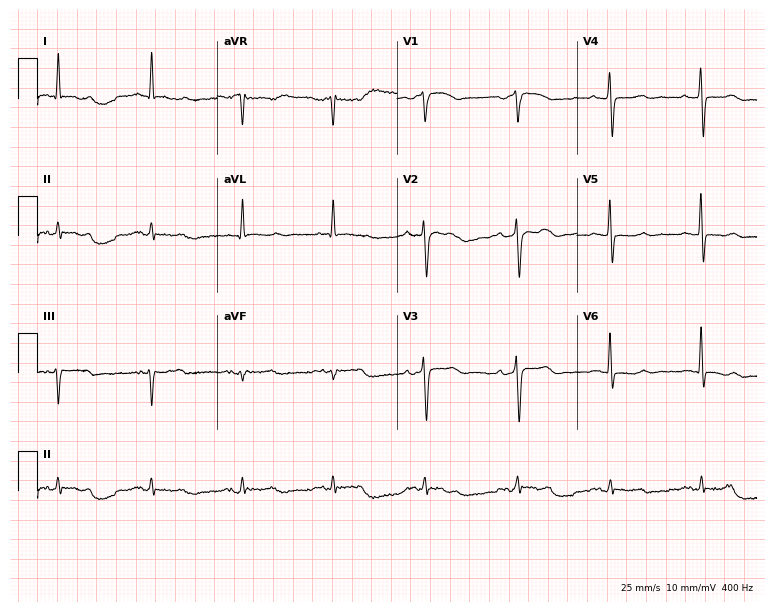
Standard 12-lead ECG recorded from a 77-year-old man. None of these six findings is recorded: first-degree AV block, right bundle branch block, left bundle branch block, sinus bradycardia, atrial fibrillation, sinus tachycardia.